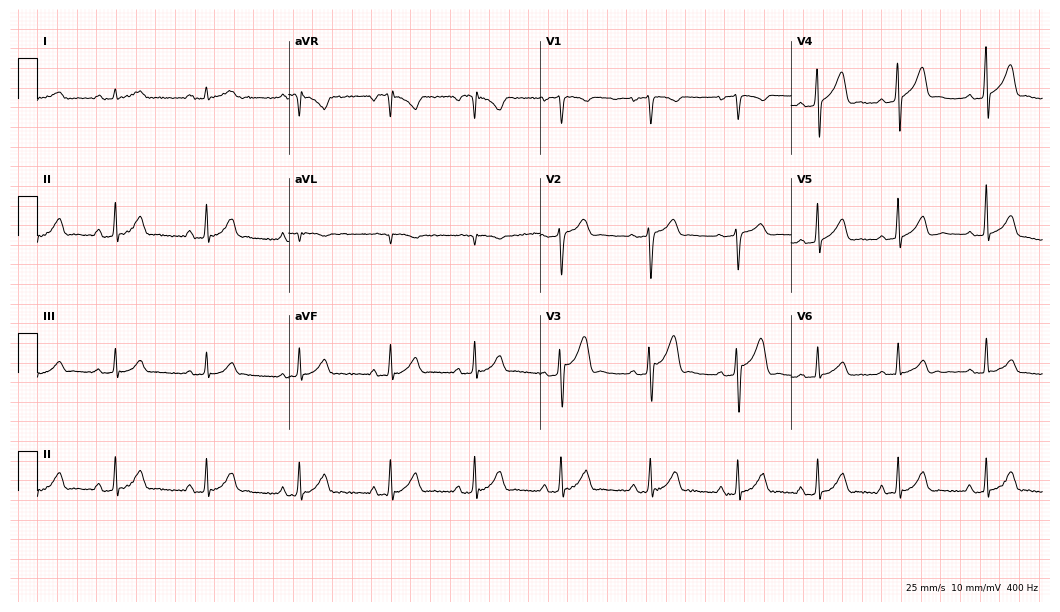
ECG (10.2-second recording at 400 Hz) — a 24-year-old man. Screened for six findings — first-degree AV block, right bundle branch block (RBBB), left bundle branch block (LBBB), sinus bradycardia, atrial fibrillation (AF), sinus tachycardia — none is recorded.